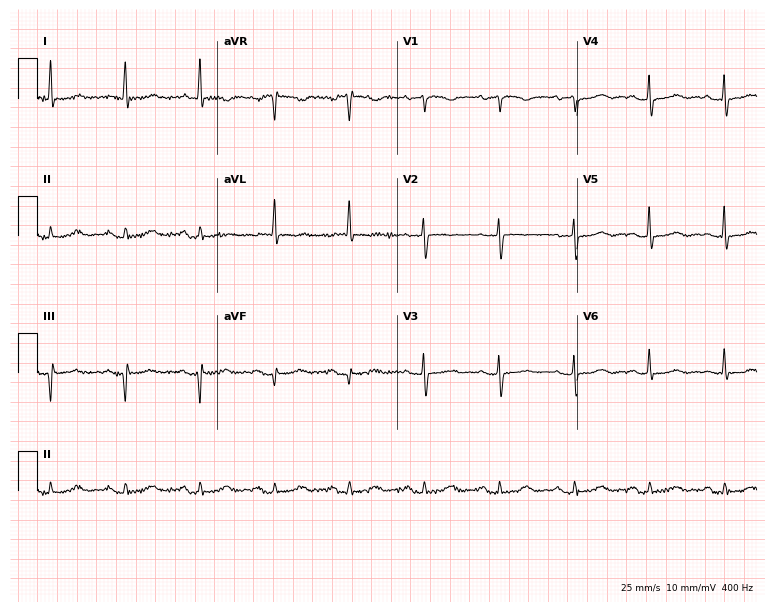
12-lead ECG from a female, 74 years old. Screened for six findings — first-degree AV block, right bundle branch block, left bundle branch block, sinus bradycardia, atrial fibrillation, sinus tachycardia — none is recorded. Other findings, if any, are not listed.